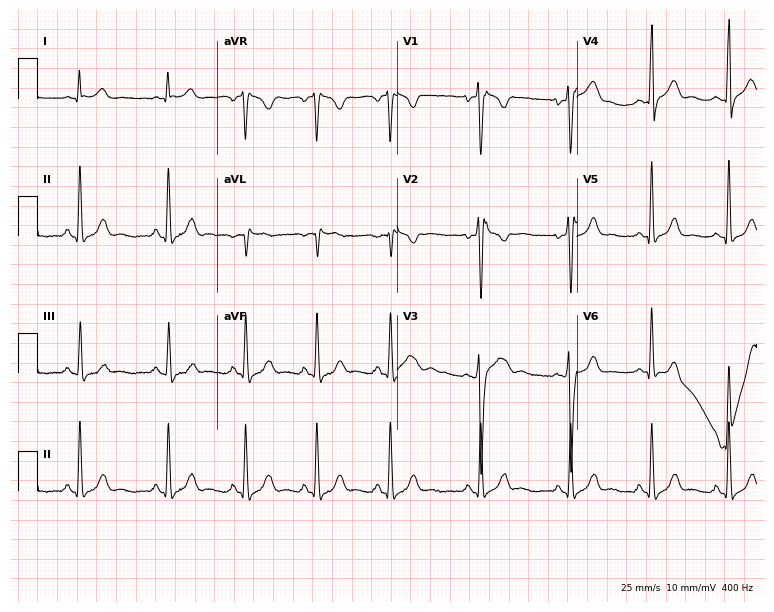
Electrocardiogram, a 20-year-old male patient. Of the six screened findings (first-degree AV block, right bundle branch block, left bundle branch block, sinus bradycardia, atrial fibrillation, sinus tachycardia), none is recorded.